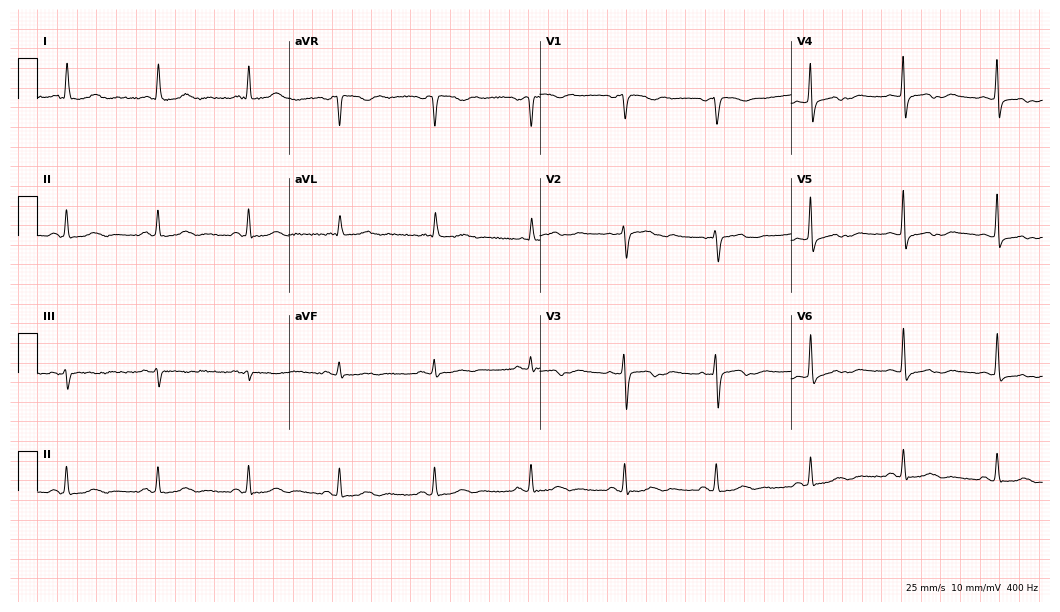
Resting 12-lead electrocardiogram. Patient: a female, 74 years old. Read as a normal ECG.